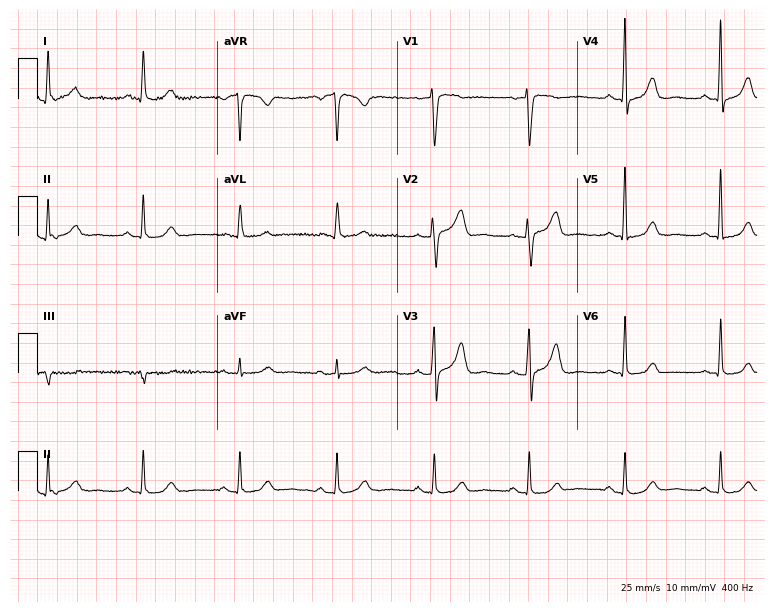
Resting 12-lead electrocardiogram (7.3-second recording at 400 Hz). Patient: a 69-year-old woman. Read as a normal ECG.